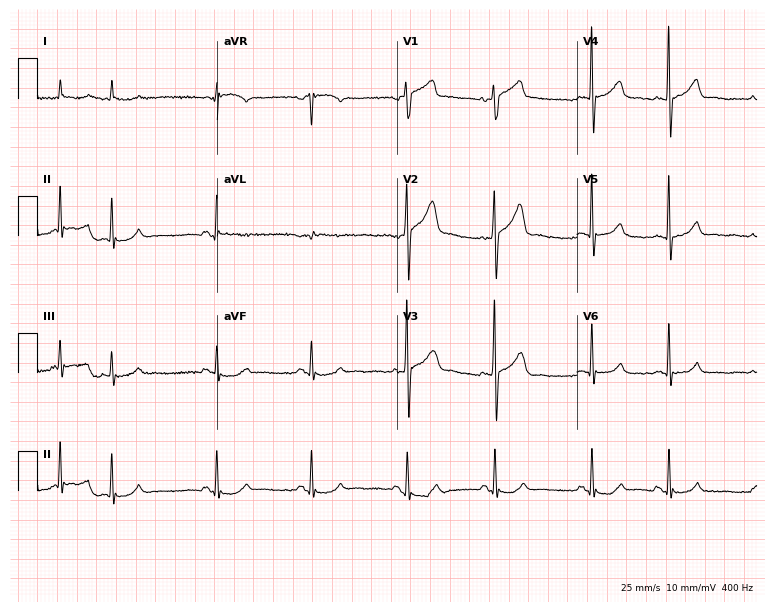
ECG (7.3-second recording at 400 Hz) — a male, 76 years old. Screened for six findings — first-degree AV block, right bundle branch block, left bundle branch block, sinus bradycardia, atrial fibrillation, sinus tachycardia — none is recorded. Only these six findings were labelled.